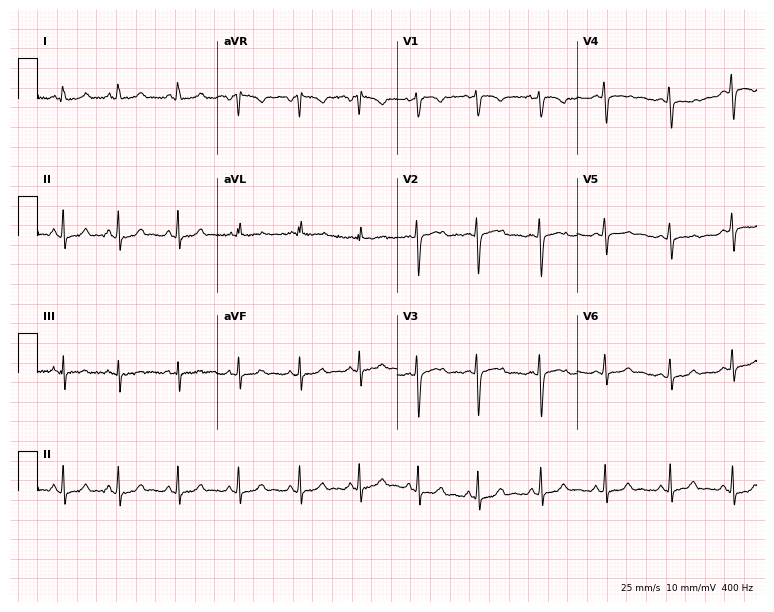
12-lead ECG (7.3-second recording at 400 Hz) from a 27-year-old woman. Screened for six findings — first-degree AV block, right bundle branch block, left bundle branch block, sinus bradycardia, atrial fibrillation, sinus tachycardia — none is recorded. Only these six findings were labelled.